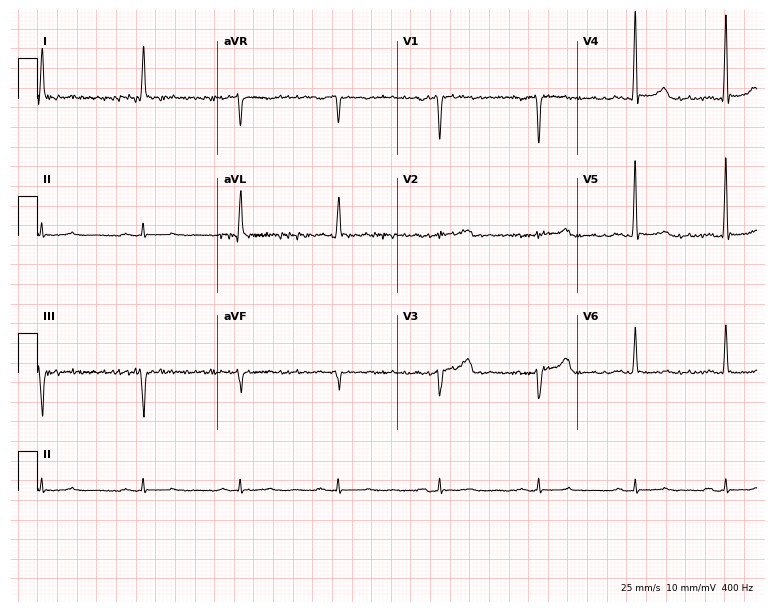
Resting 12-lead electrocardiogram (7.3-second recording at 400 Hz). Patient: a 53-year-old female. None of these six findings is recorded: first-degree AV block, right bundle branch block, left bundle branch block, sinus bradycardia, atrial fibrillation, sinus tachycardia.